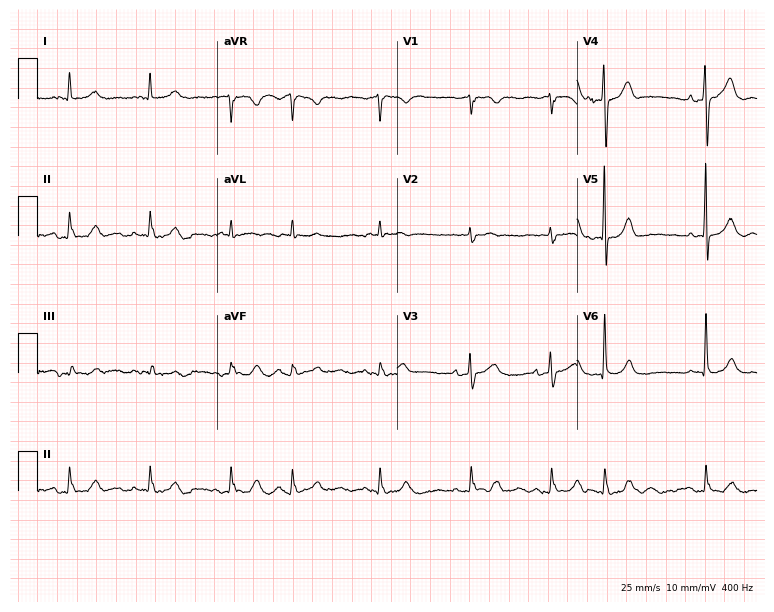
12-lead ECG (7.3-second recording at 400 Hz) from a female patient, 84 years old. Screened for six findings — first-degree AV block, right bundle branch block (RBBB), left bundle branch block (LBBB), sinus bradycardia, atrial fibrillation (AF), sinus tachycardia — none is recorded. Only these six findings were labelled.